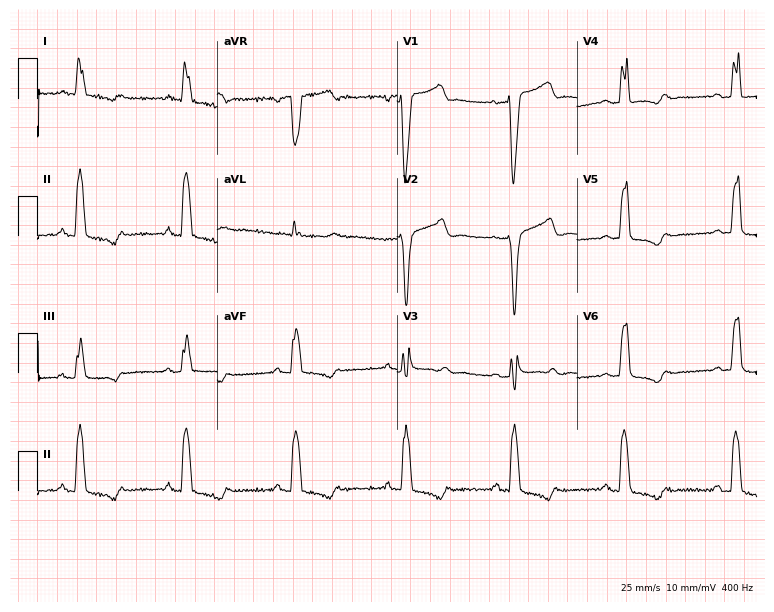
Electrocardiogram (7.3-second recording at 400 Hz), an 84-year-old female patient. Interpretation includes left bundle branch block (LBBB).